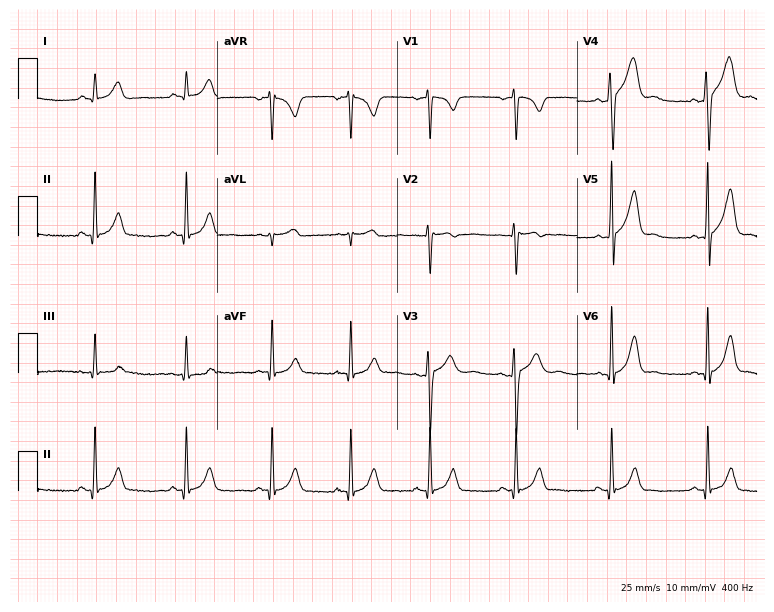
Electrocardiogram, a 33-year-old male patient. Overall reading on record: normal ECG.